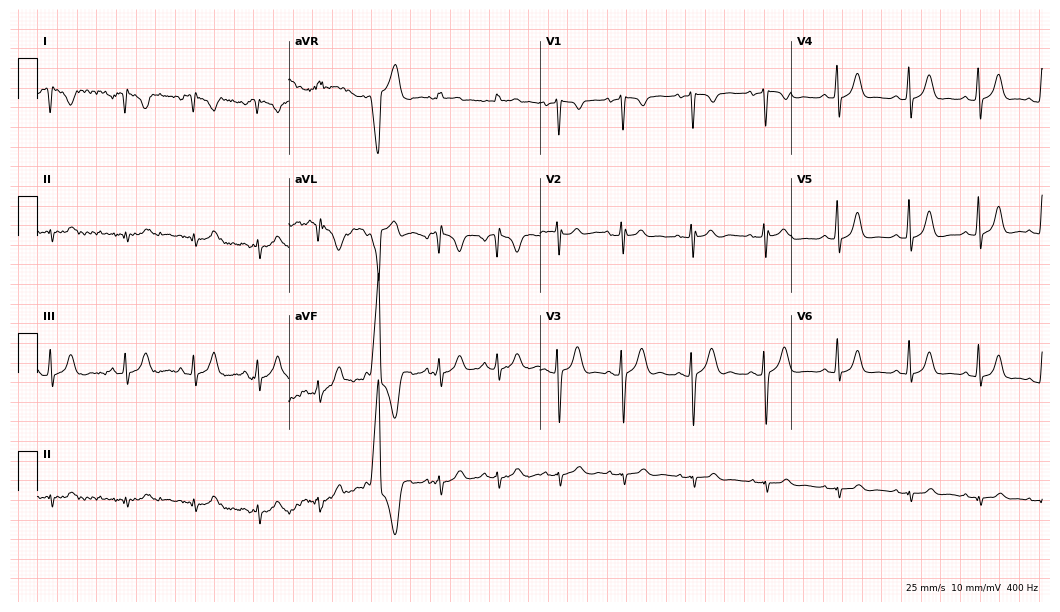
12-lead ECG (10.2-second recording at 400 Hz) from a female patient, 21 years old. Screened for six findings — first-degree AV block, right bundle branch block (RBBB), left bundle branch block (LBBB), sinus bradycardia, atrial fibrillation (AF), sinus tachycardia — none is recorded.